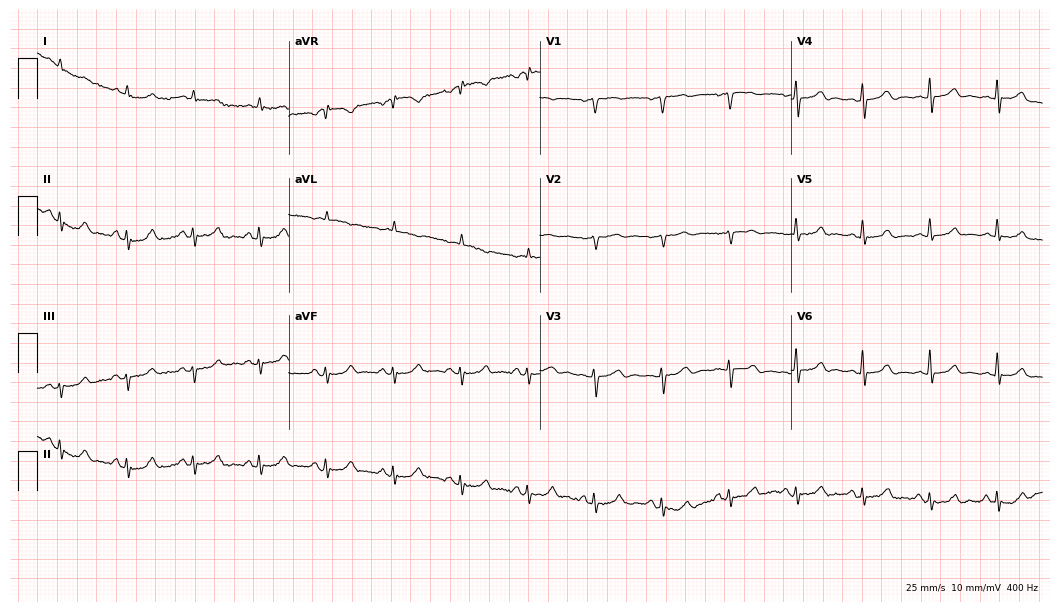
Standard 12-lead ECG recorded from a man, 82 years old. Read as a normal ECG.